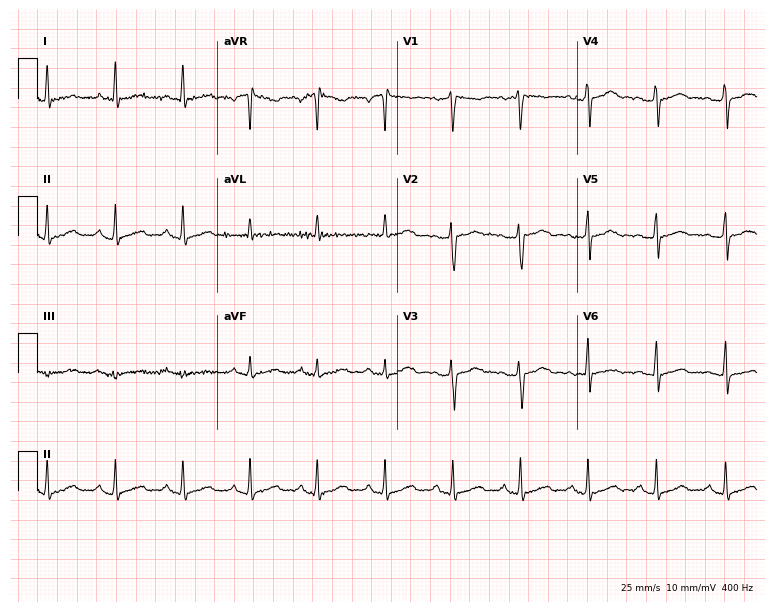
Electrocardiogram (7.3-second recording at 400 Hz), a female patient, 35 years old. Of the six screened findings (first-degree AV block, right bundle branch block (RBBB), left bundle branch block (LBBB), sinus bradycardia, atrial fibrillation (AF), sinus tachycardia), none is recorded.